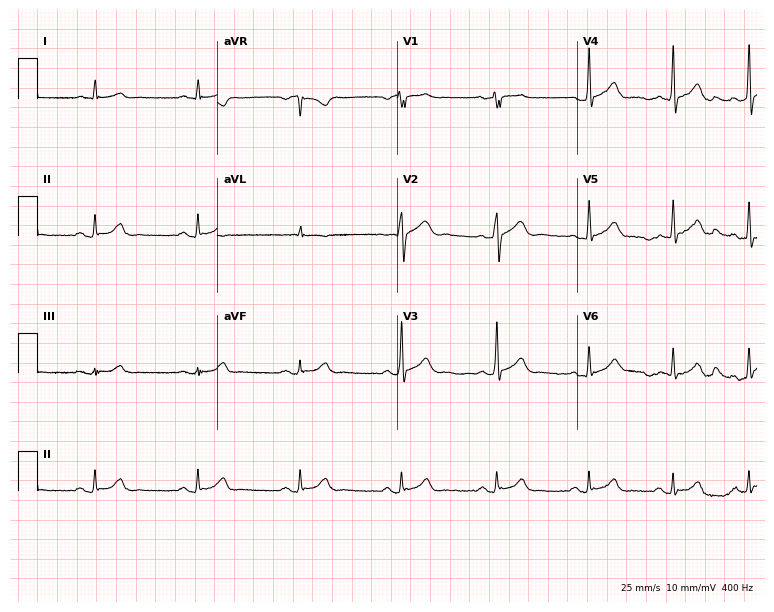
ECG — a 42-year-old man. Labelled as a normal ECG.